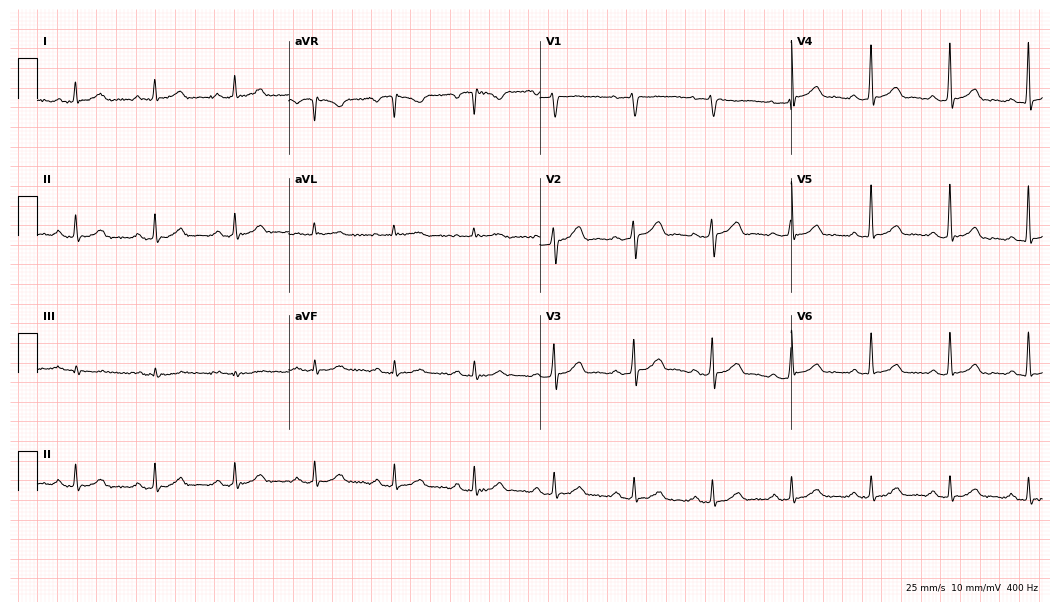
12-lead ECG from a male, 69 years old (10.2-second recording at 400 Hz). No first-degree AV block, right bundle branch block (RBBB), left bundle branch block (LBBB), sinus bradycardia, atrial fibrillation (AF) or sinus tachycardia recorded for this tracing. Findings outside these six are not listed.